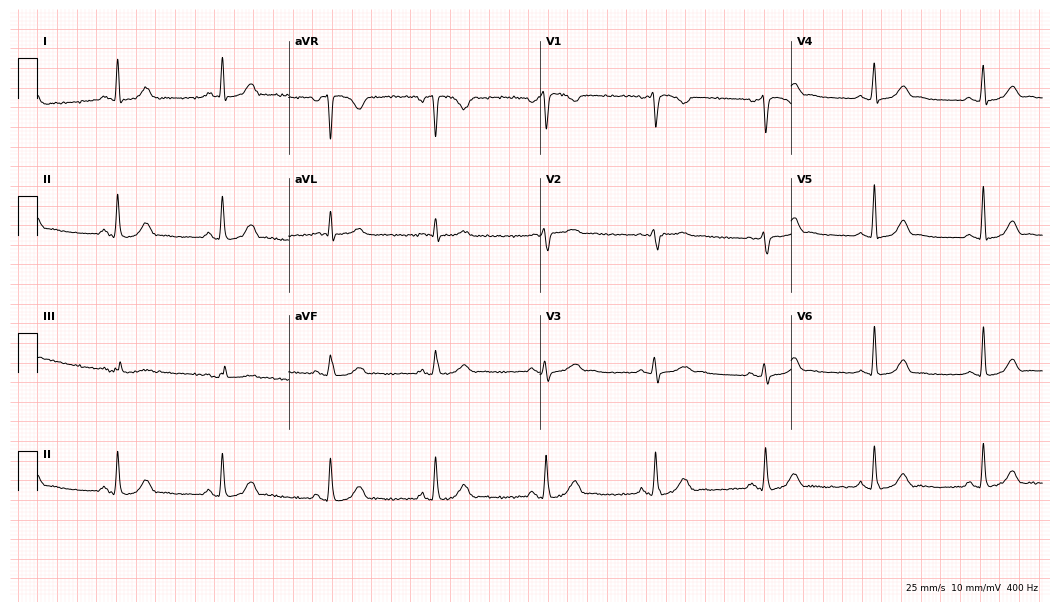
Standard 12-lead ECG recorded from a 38-year-old woman. Read as a normal ECG.